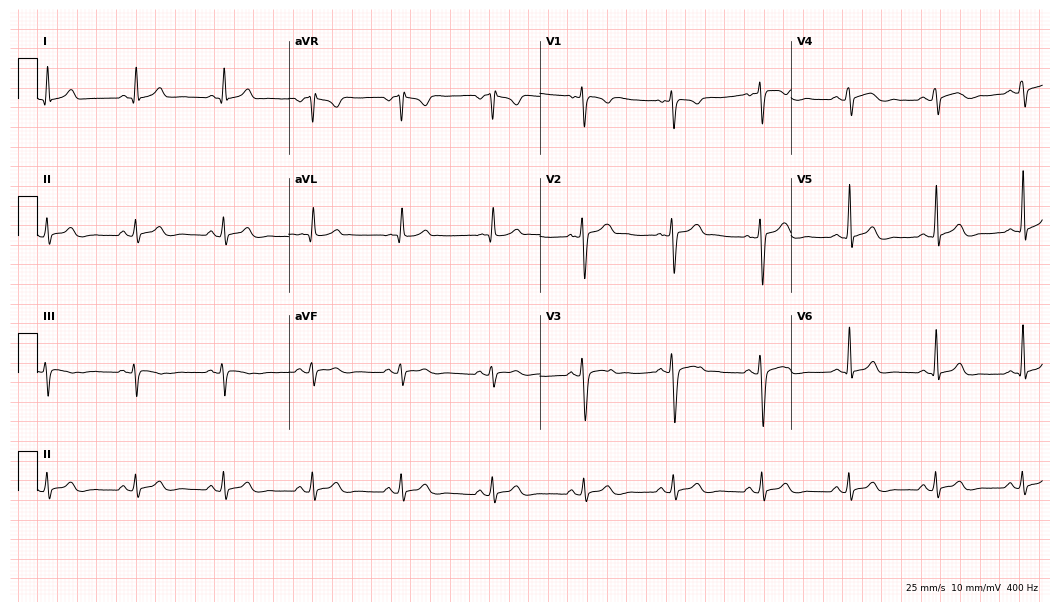
Resting 12-lead electrocardiogram (10.2-second recording at 400 Hz). Patient: a 38-year-old male. None of these six findings is recorded: first-degree AV block, right bundle branch block, left bundle branch block, sinus bradycardia, atrial fibrillation, sinus tachycardia. Other findings, if any, are not listed.